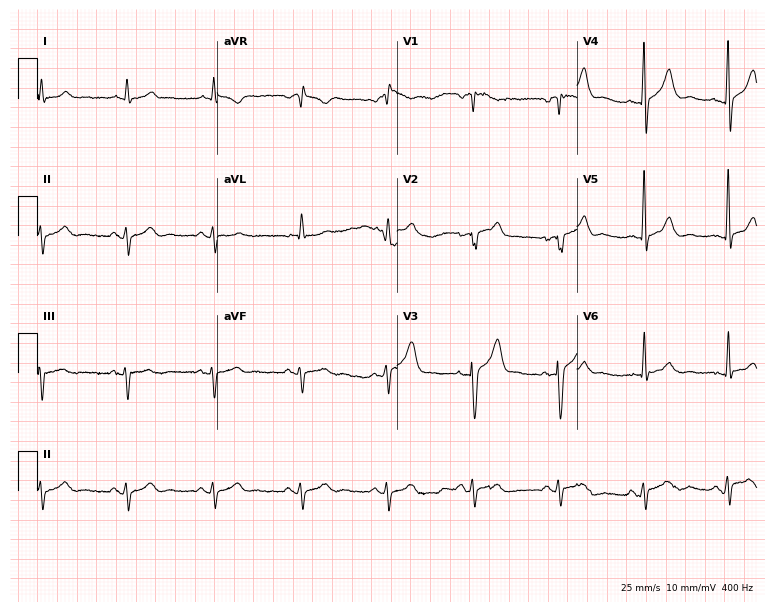
12-lead ECG from a male, 69 years old (7.3-second recording at 400 Hz). No first-degree AV block, right bundle branch block (RBBB), left bundle branch block (LBBB), sinus bradycardia, atrial fibrillation (AF) or sinus tachycardia recorded for this tracing.